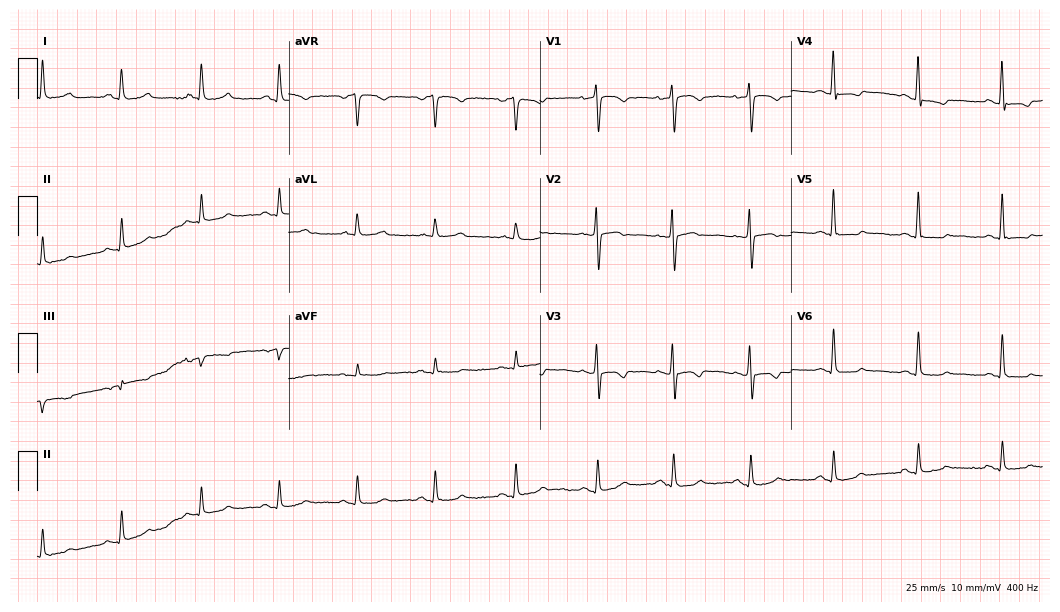
ECG (10.2-second recording at 400 Hz) — a female, 61 years old. Screened for six findings — first-degree AV block, right bundle branch block, left bundle branch block, sinus bradycardia, atrial fibrillation, sinus tachycardia — none is recorded. Findings outside these six are not listed.